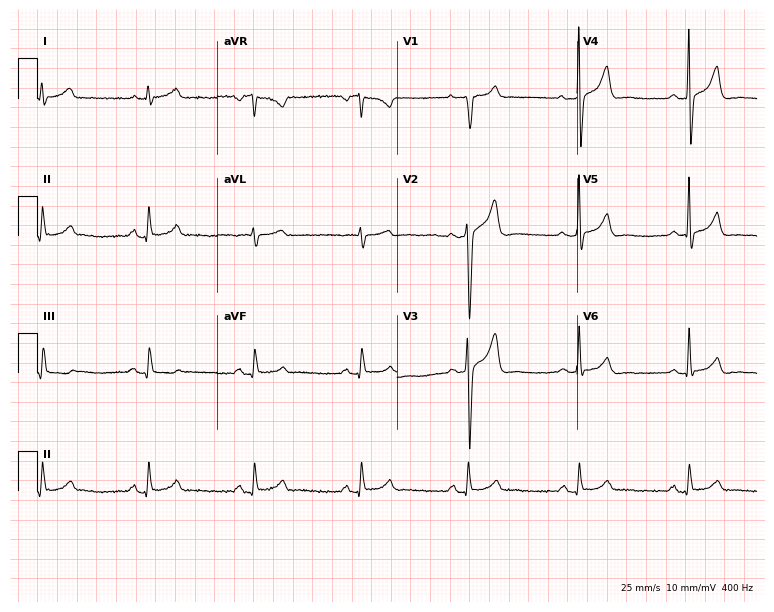
12-lead ECG from a 66-year-old male (7.3-second recording at 400 Hz). No first-degree AV block, right bundle branch block (RBBB), left bundle branch block (LBBB), sinus bradycardia, atrial fibrillation (AF) or sinus tachycardia recorded for this tracing.